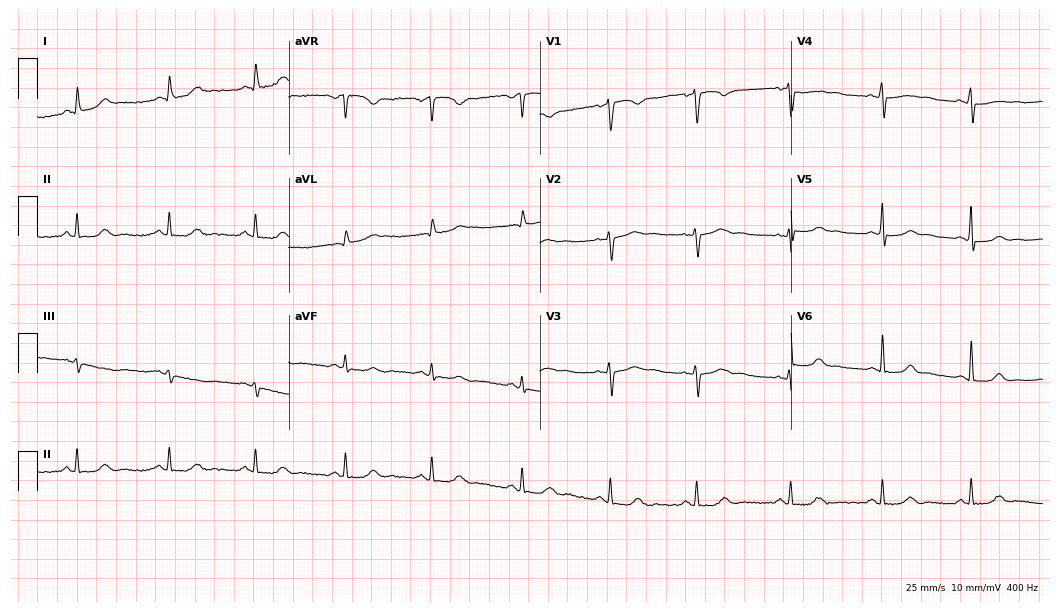
12-lead ECG (10.2-second recording at 400 Hz) from a 51-year-old female patient. Screened for six findings — first-degree AV block, right bundle branch block (RBBB), left bundle branch block (LBBB), sinus bradycardia, atrial fibrillation (AF), sinus tachycardia — none is recorded. Only these six findings were labelled.